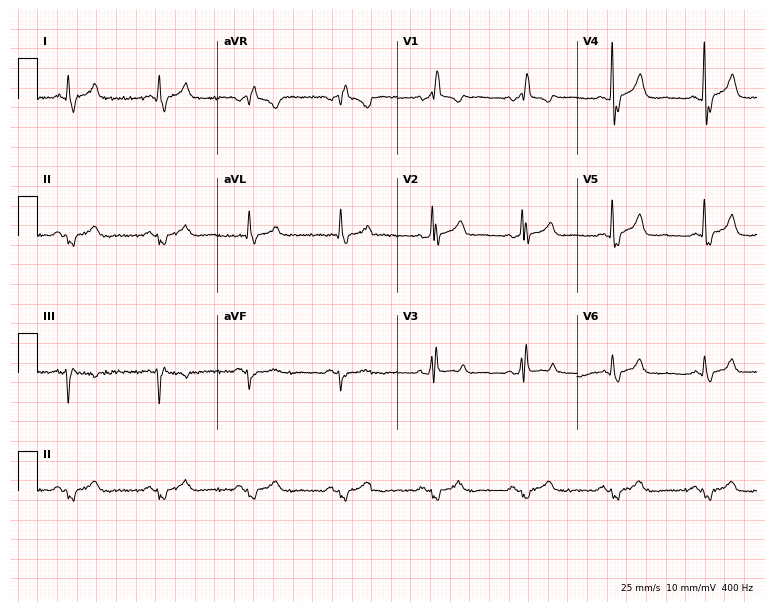
12-lead ECG (7.3-second recording at 400 Hz) from a male patient, 54 years old. Findings include right bundle branch block.